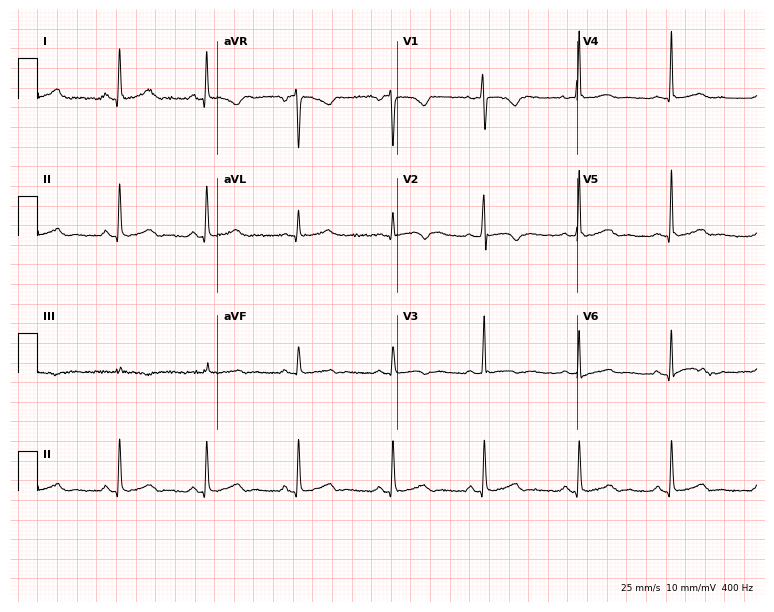
12-lead ECG from a 28-year-old woman. Screened for six findings — first-degree AV block, right bundle branch block, left bundle branch block, sinus bradycardia, atrial fibrillation, sinus tachycardia — none is recorded. Other findings, if any, are not listed.